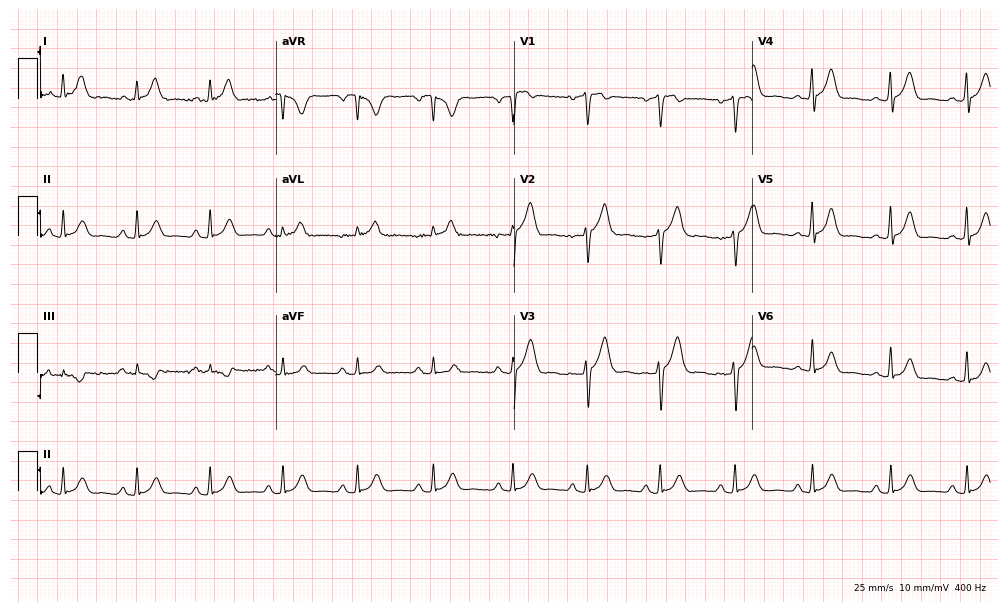
Resting 12-lead electrocardiogram (9.7-second recording at 400 Hz). Patient: a 38-year-old woman. None of these six findings is recorded: first-degree AV block, right bundle branch block, left bundle branch block, sinus bradycardia, atrial fibrillation, sinus tachycardia. Only these six findings were labelled.